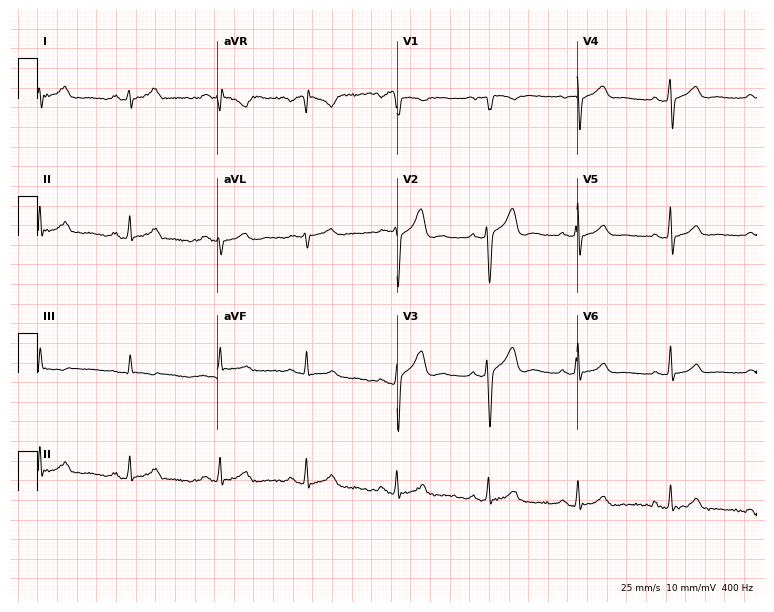
12-lead ECG from a 33-year-old man. No first-degree AV block, right bundle branch block (RBBB), left bundle branch block (LBBB), sinus bradycardia, atrial fibrillation (AF) or sinus tachycardia recorded for this tracing. Only these six findings were labelled.